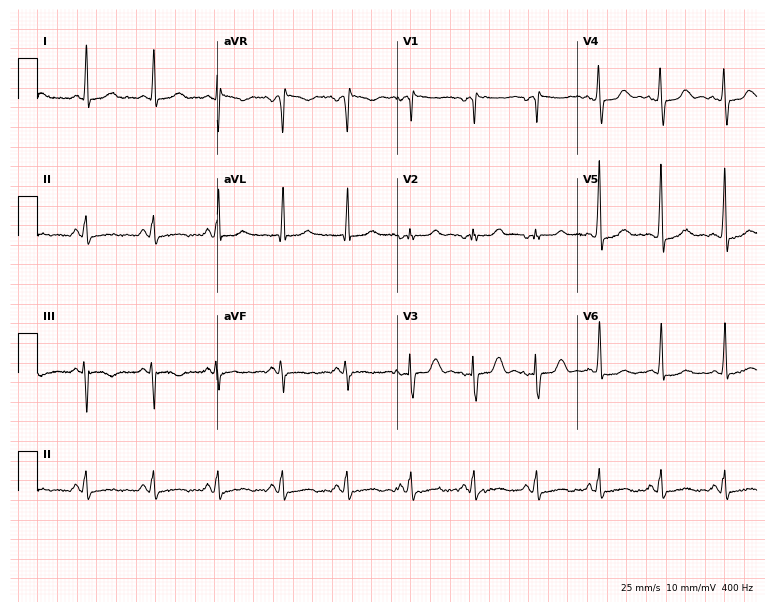
12-lead ECG (7.3-second recording at 400 Hz) from a 54-year-old female patient. Screened for six findings — first-degree AV block, right bundle branch block, left bundle branch block, sinus bradycardia, atrial fibrillation, sinus tachycardia — none is recorded.